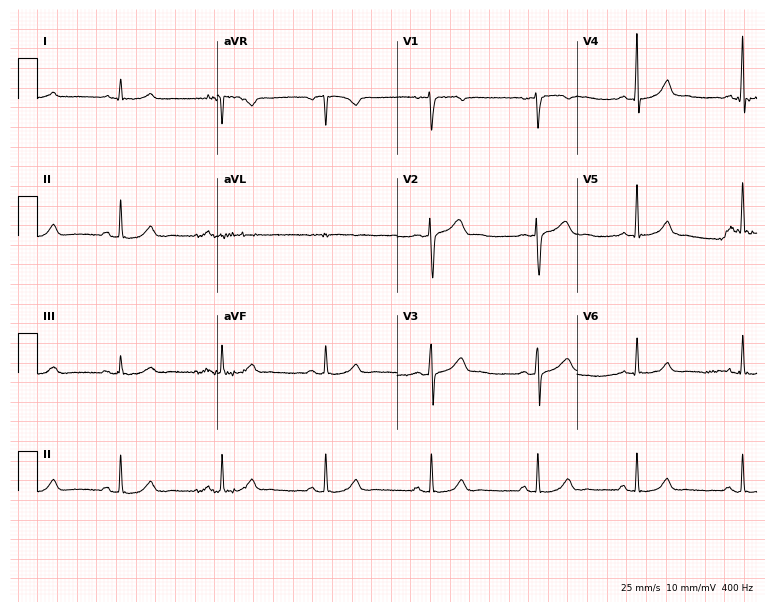
Resting 12-lead electrocardiogram. Patient: a 44-year-old female. Read as a normal ECG.